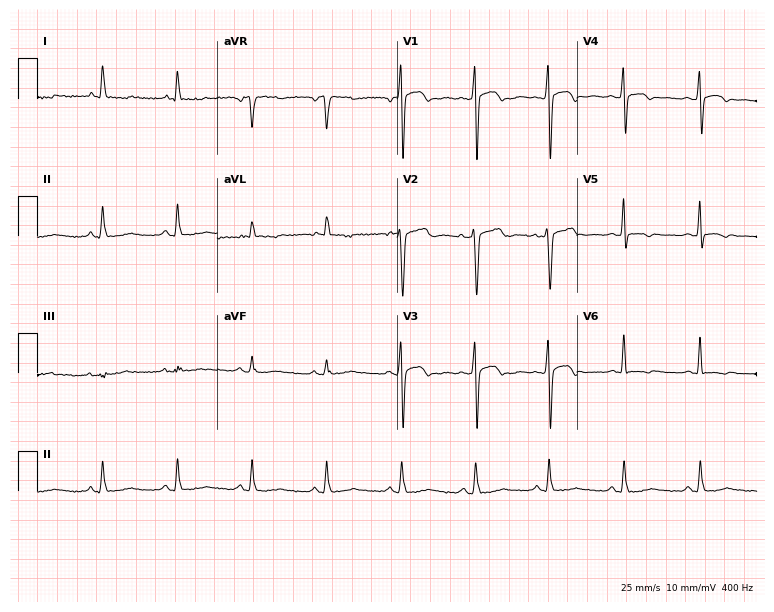
12-lead ECG from a 50-year-old man. Screened for six findings — first-degree AV block, right bundle branch block, left bundle branch block, sinus bradycardia, atrial fibrillation, sinus tachycardia — none is recorded. Only these six findings were labelled.